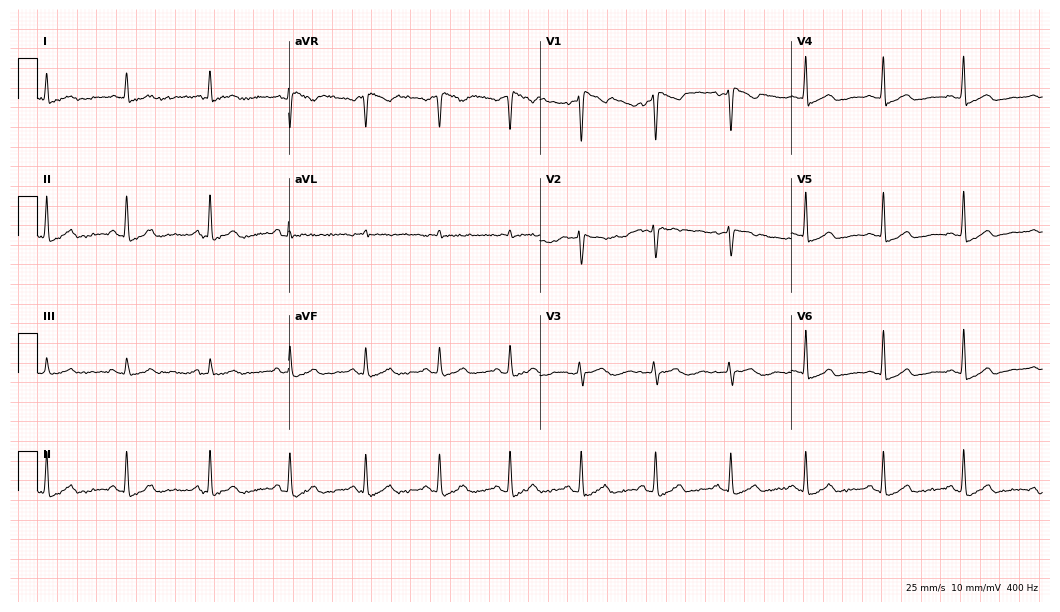
12-lead ECG from a woman, 34 years old. Recorded interpretation: within normal limits.